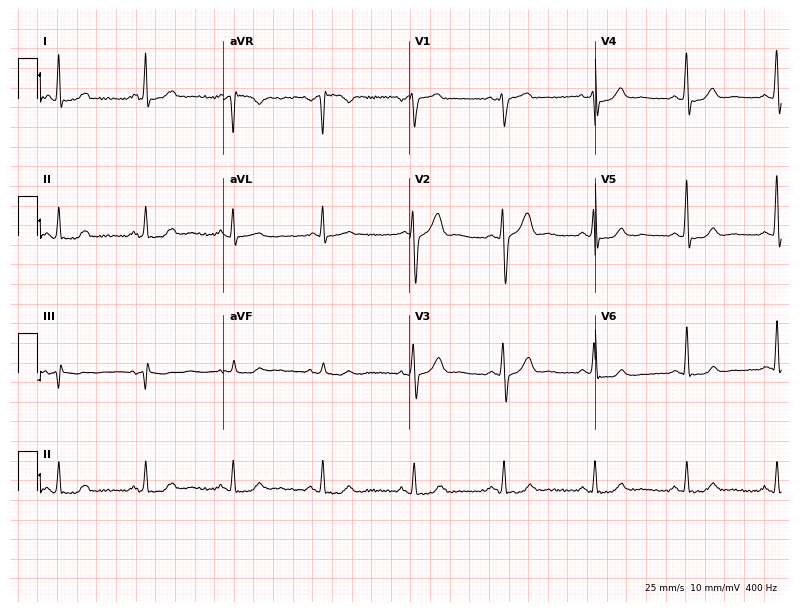
ECG (7.6-second recording at 400 Hz) — a 46-year-old man. Screened for six findings — first-degree AV block, right bundle branch block, left bundle branch block, sinus bradycardia, atrial fibrillation, sinus tachycardia — none is recorded.